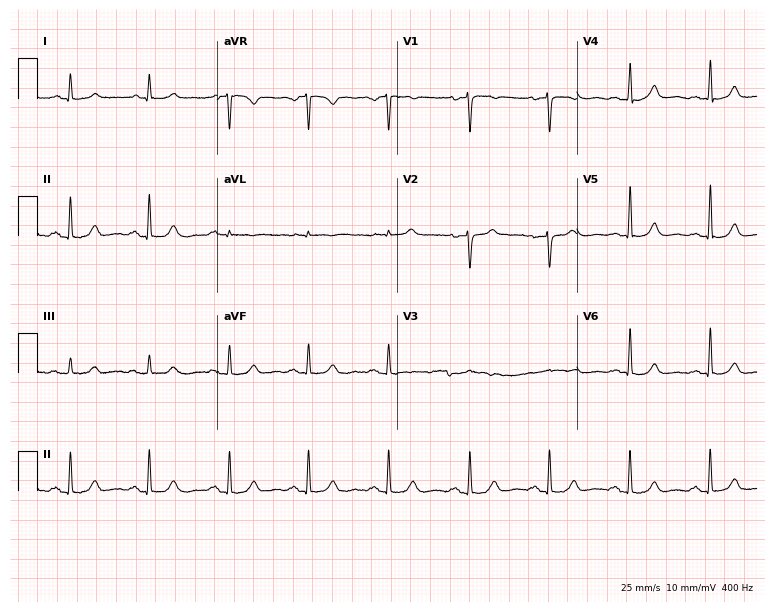
ECG (7.3-second recording at 400 Hz) — a 52-year-old female. Screened for six findings — first-degree AV block, right bundle branch block, left bundle branch block, sinus bradycardia, atrial fibrillation, sinus tachycardia — none is recorded. Findings outside these six are not listed.